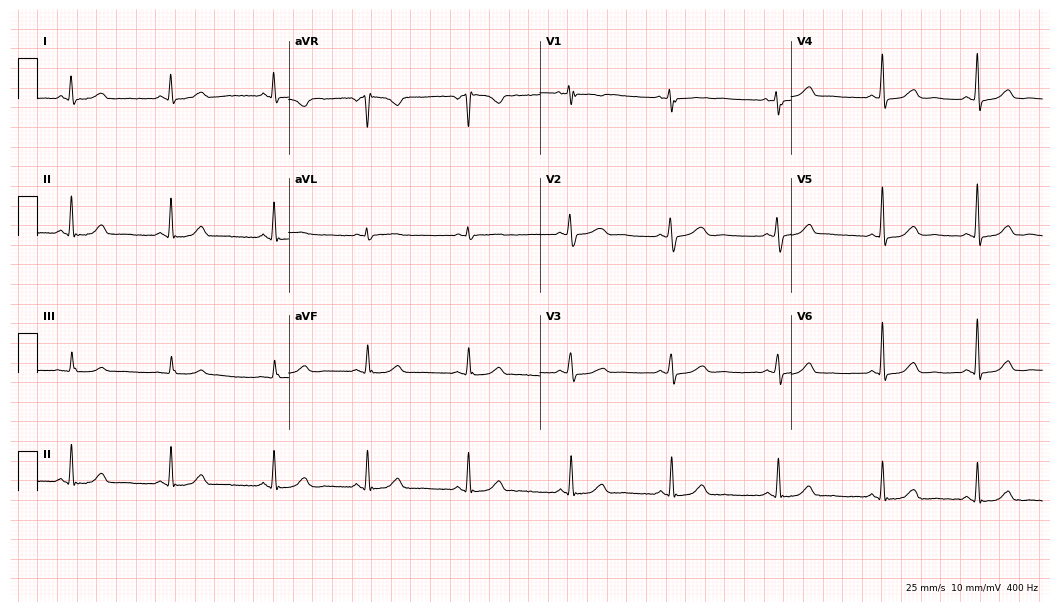
ECG (10.2-second recording at 400 Hz) — a 64-year-old female. Labelled as a normal ECG.